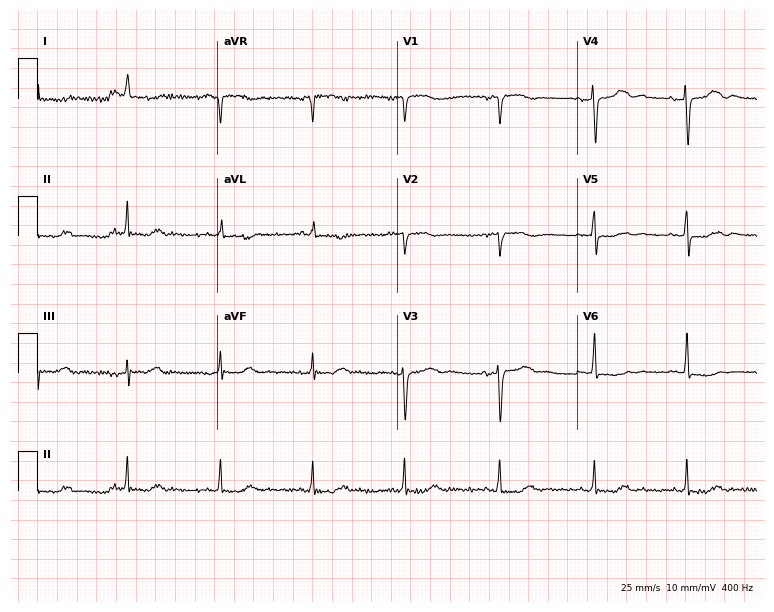
12-lead ECG from a female, 74 years old. No first-degree AV block, right bundle branch block (RBBB), left bundle branch block (LBBB), sinus bradycardia, atrial fibrillation (AF) or sinus tachycardia recorded for this tracing.